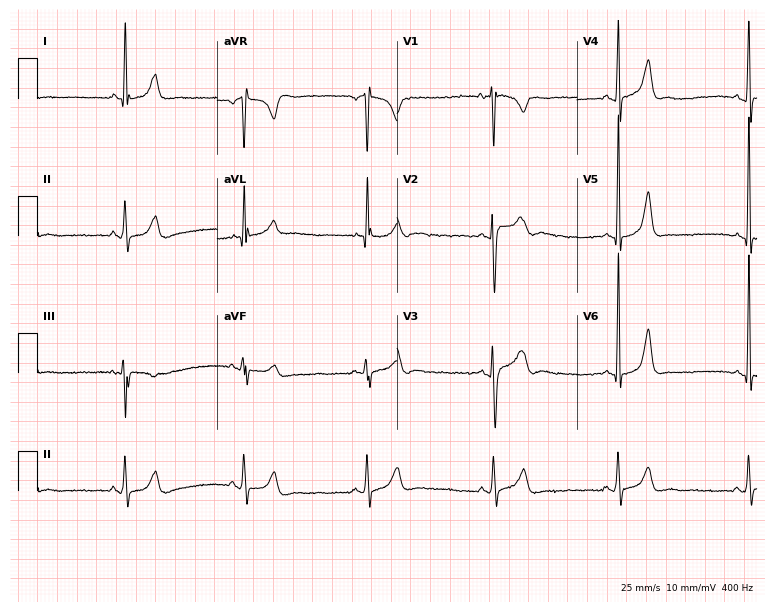
12-lead ECG from a 25-year-old male. Findings include sinus bradycardia (a sinus rate of 50 beats per minute or less).